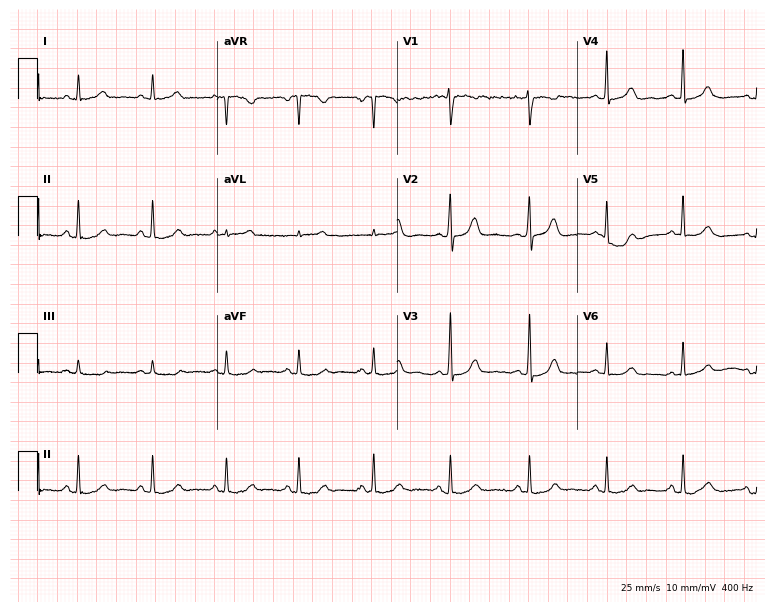
12-lead ECG (7.3-second recording at 400 Hz) from a woman, 36 years old. Screened for six findings — first-degree AV block, right bundle branch block, left bundle branch block, sinus bradycardia, atrial fibrillation, sinus tachycardia — none is recorded.